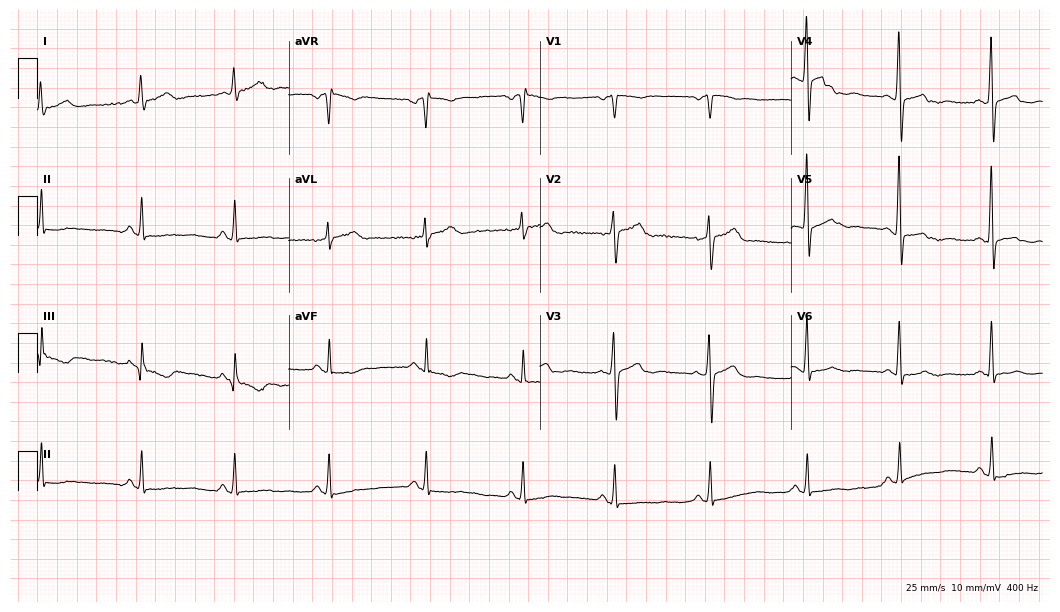
Resting 12-lead electrocardiogram. Patient: a female, 54 years old. None of these six findings is recorded: first-degree AV block, right bundle branch block, left bundle branch block, sinus bradycardia, atrial fibrillation, sinus tachycardia. Other findings, if any, are not listed.